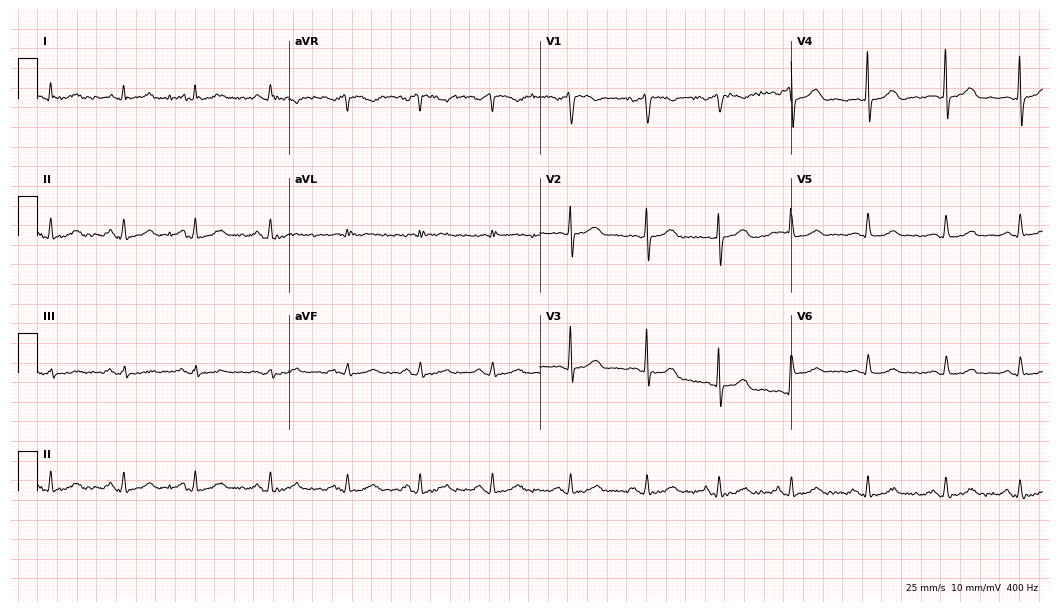
Electrocardiogram (10.2-second recording at 400 Hz), a 75-year-old female patient. Overall reading on record: normal ECG.